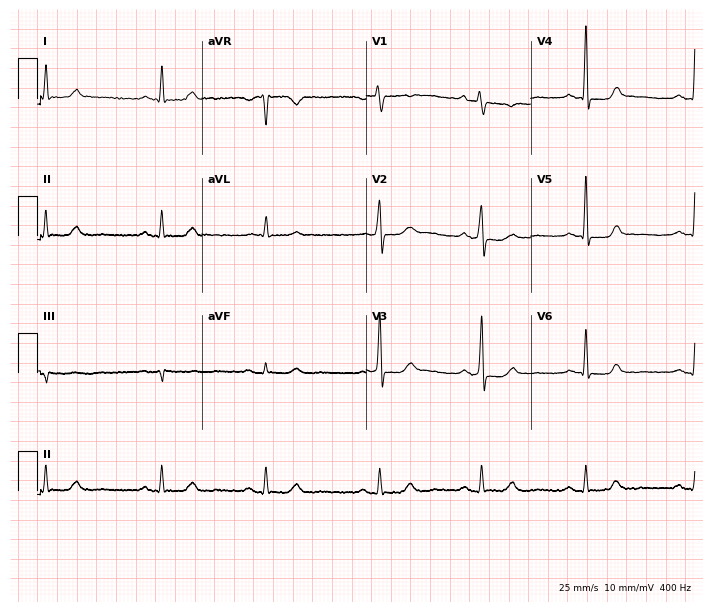
12-lead ECG from a woman, 56 years old. No first-degree AV block, right bundle branch block (RBBB), left bundle branch block (LBBB), sinus bradycardia, atrial fibrillation (AF) or sinus tachycardia recorded for this tracing.